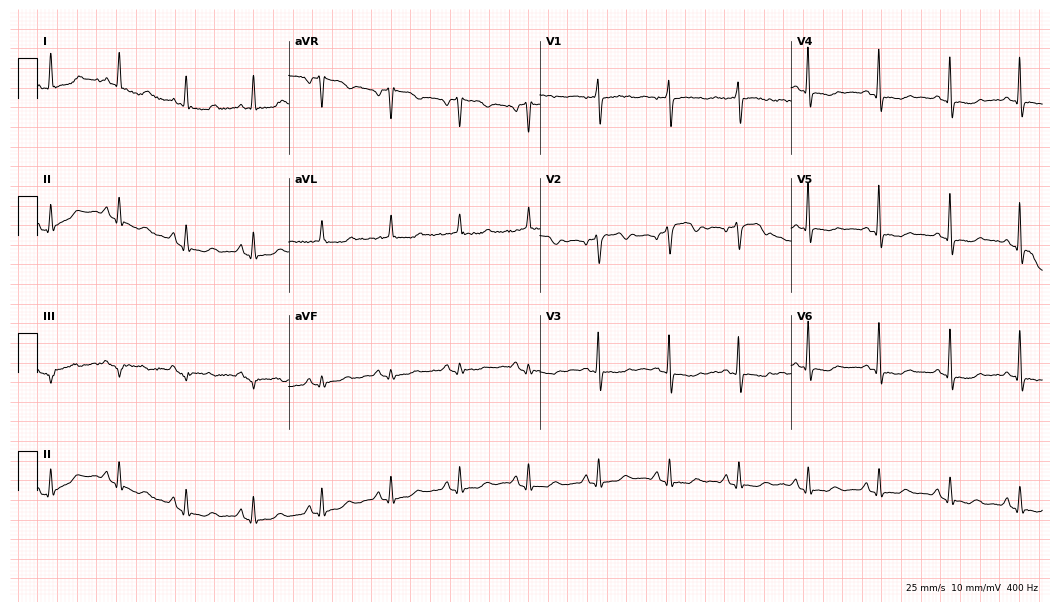
Standard 12-lead ECG recorded from a 72-year-old woman. None of these six findings is recorded: first-degree AV block, right bundle branch block, left bundle branch block, sinus bradycardia, atrial fibrillation, sinus tachycardia.